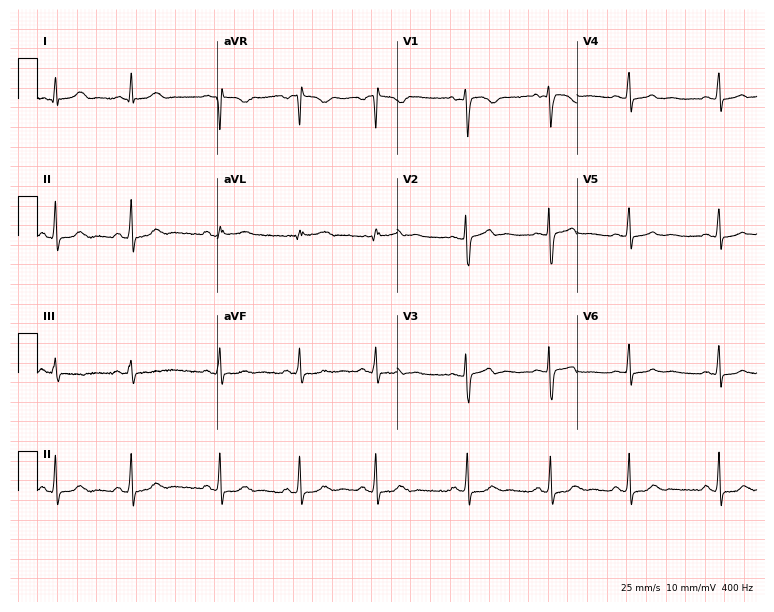
ECG (7.3-second recording at 400 Hz) — an 18-year-old woman. Screened for six findings — first-degree AV block, right bundle branch block, left bundle branch block, sinus bradycardia, atrial fibrillation, sinus tachycardia — none is recorded.